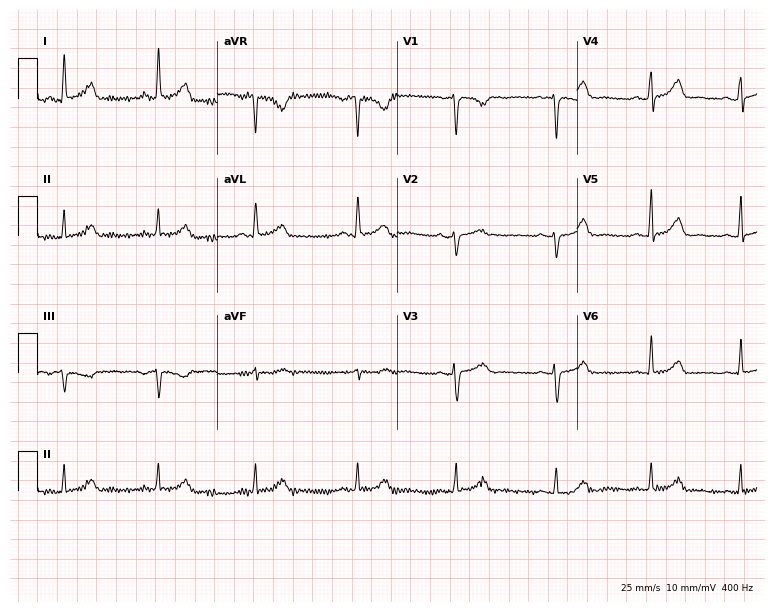
Electrocardiogram (7.3-second recording at 400 Hz), a woman, 52 years old. Overall reading on record: normal ECG.